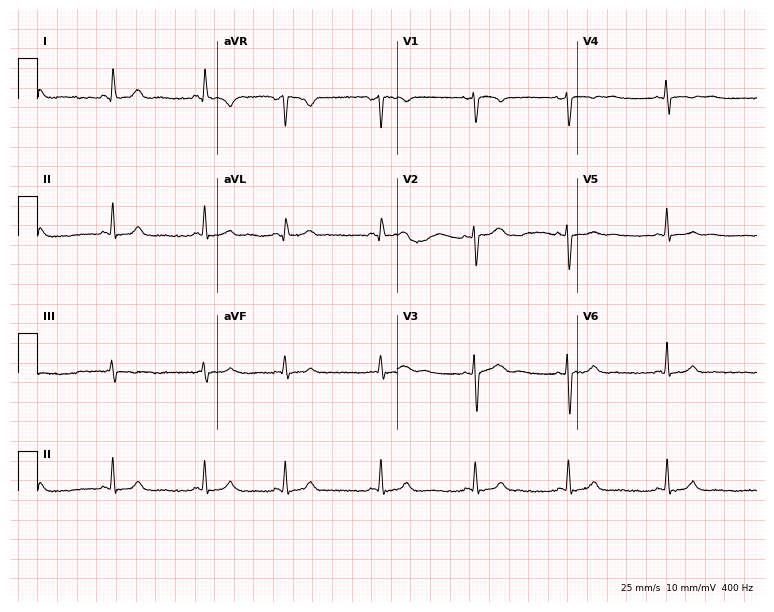
12-lead ECG from a 29-year-old woman. No first-degree AV block, right bundle branch block, left bundle branch block, sinus bradycardia, atrial fibrillation or sinus tachycardia recorded for this tracing.